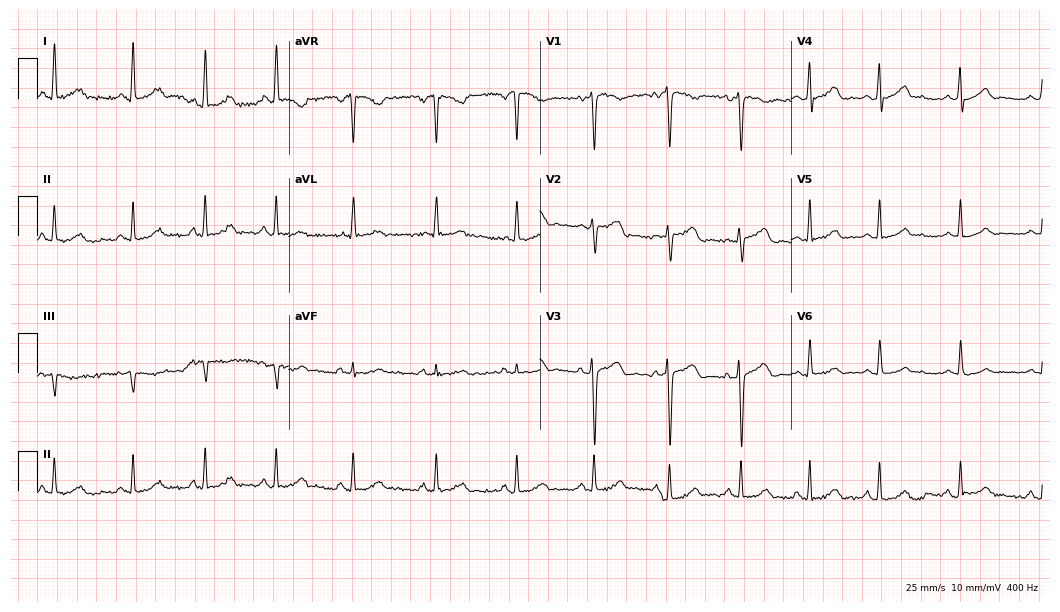
Standard 12-lead ECG recorded from a female patient, 33 years old. Read as a normal ECG.